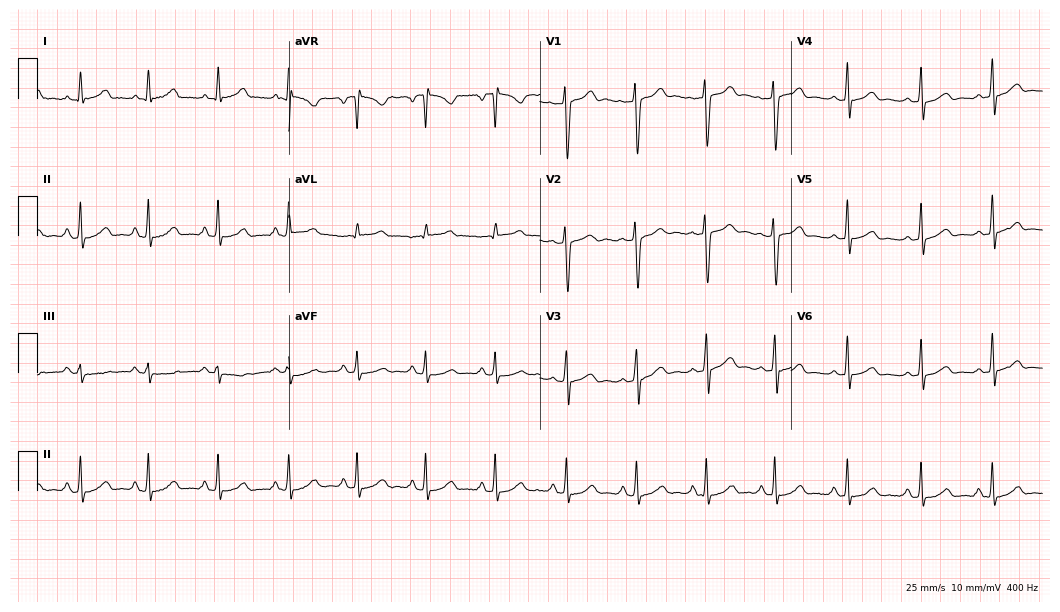
Electrocardiogram (10.2-second recording at 400 Hz), a 46-year-old female. Overall reading on record: normal ECG.